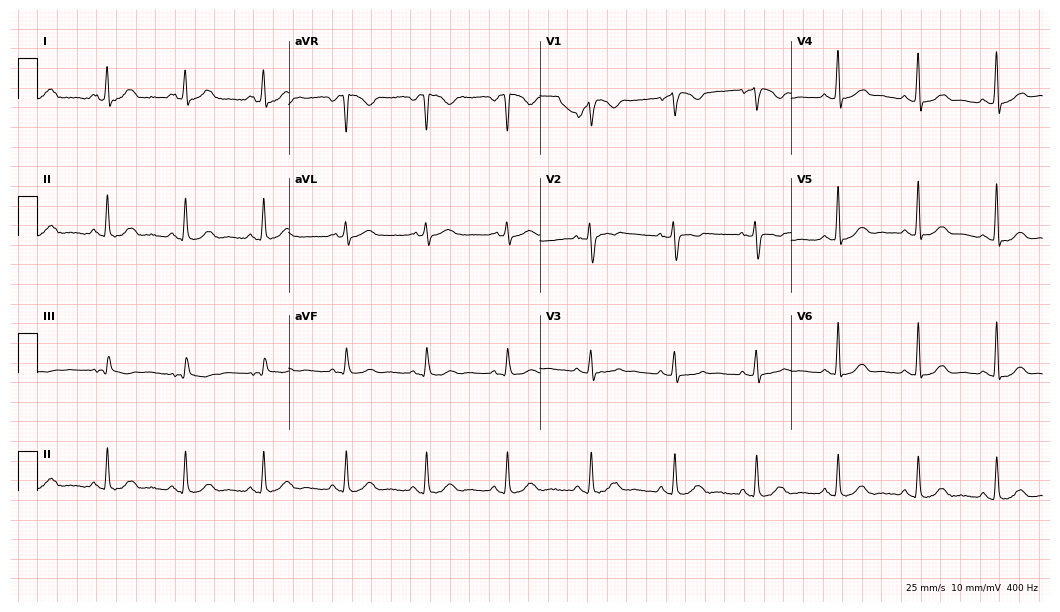
Standard 12-lead ECG recorded from a 50-year-old male patient (10.2-second recording at 400 Hz). Read as a normal ECG.